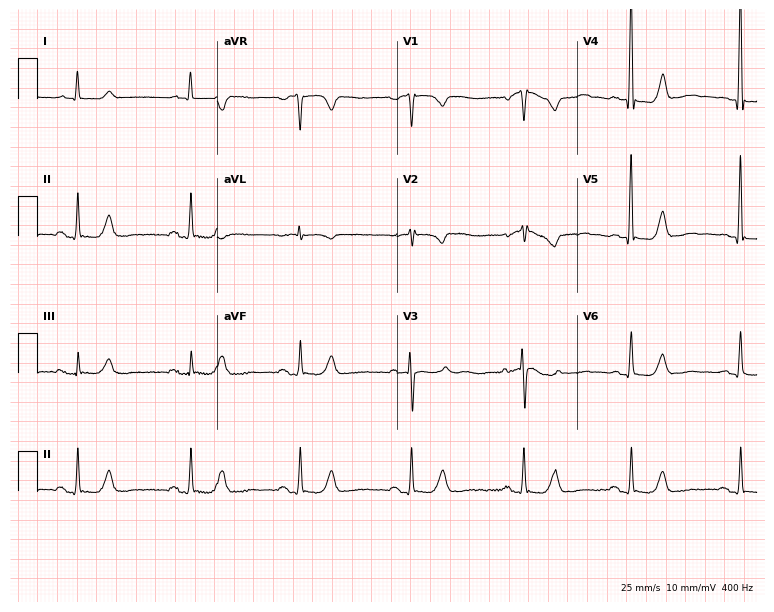
ECG — a female patient, 73 years old. Labelled as a normal ECG.